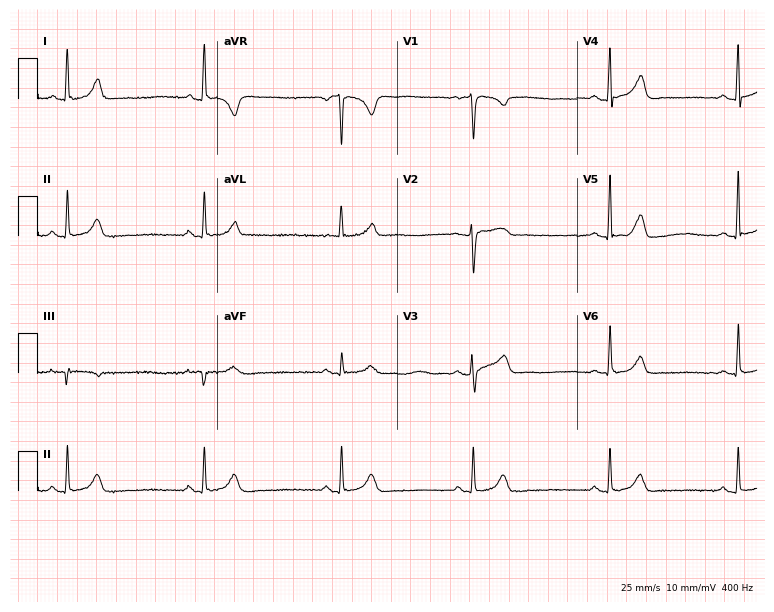
Standard 12-lead ECG recorded from a female, 38 years old (7.3-second recording at 400 Hz). None of these six findings is recorded: first-degree AV block, right bundle branch block (RBBB), left bundle branch block (LBBB), sinus bradycardia, atrial fibrillation (AF), sinus tachycardia.